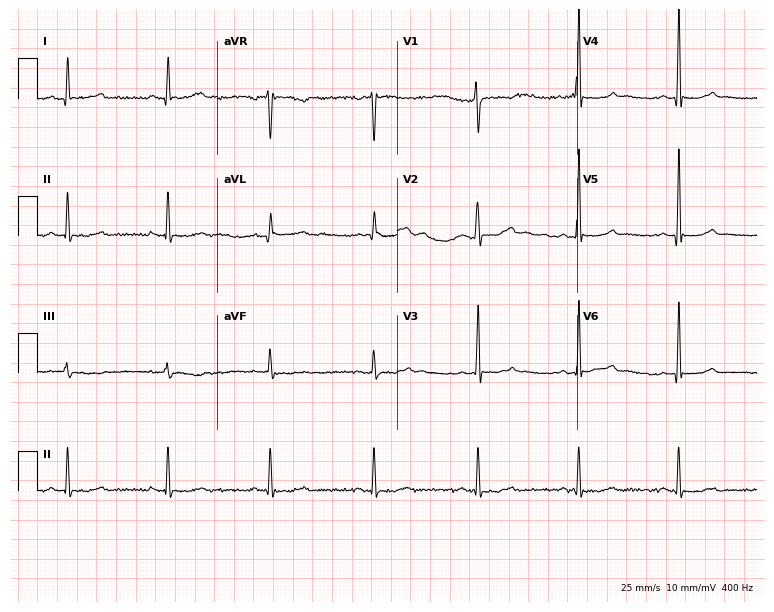
Resting 12-lead electrocardiogram (7.3-second recording at 400 Hz). Patient: a 37-year-old female. None of these six findings is recorded: first-degree AV block, right bundle branch block, left bundle branch block, sinus bradycardia, atrial fibrillation, sinus tachycardia.